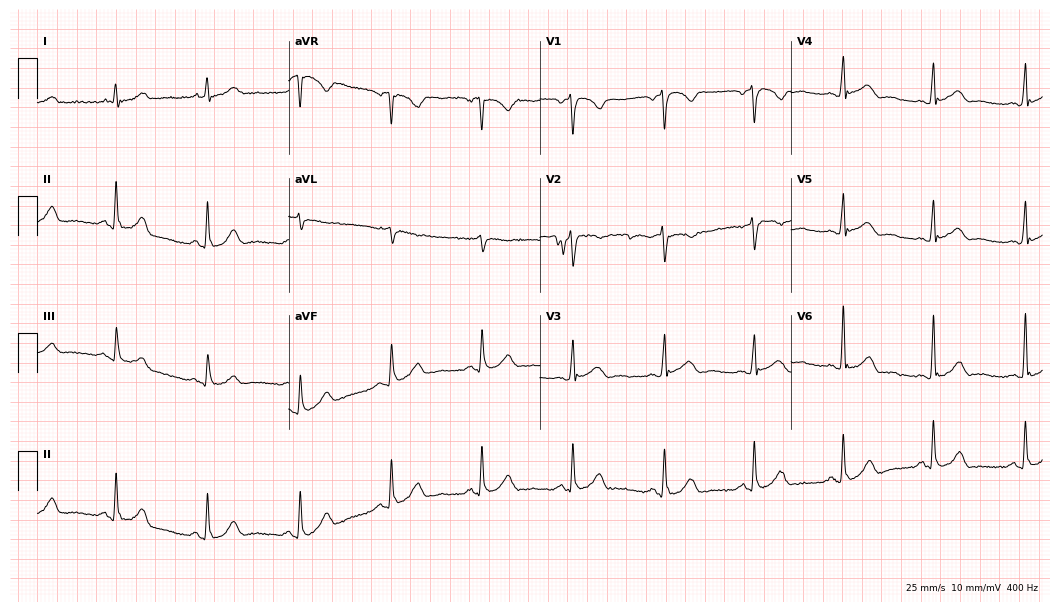
12-lead ECG from a male, 58 years old. Labelled as a normal ECG.